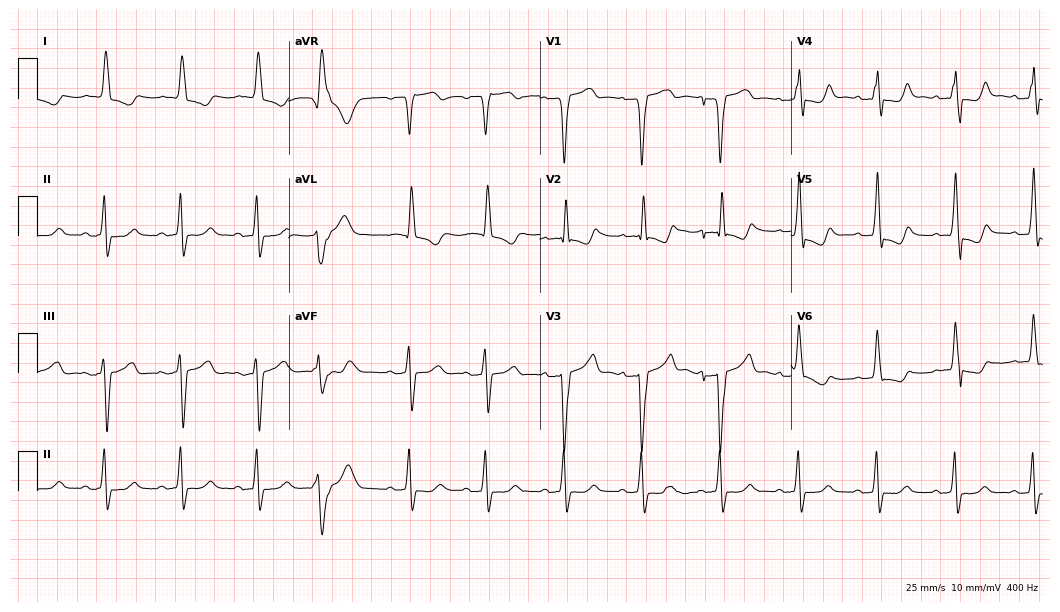
12-lead ECG (10.2-second recording at 400 Hz) from an 82-year-old female. Screened for six findings — first-degree AV block, right bundle branch block, left bundle branch block, sinus bradycardia, atrial fibrillation, sinus tachycardia — none is recorded.